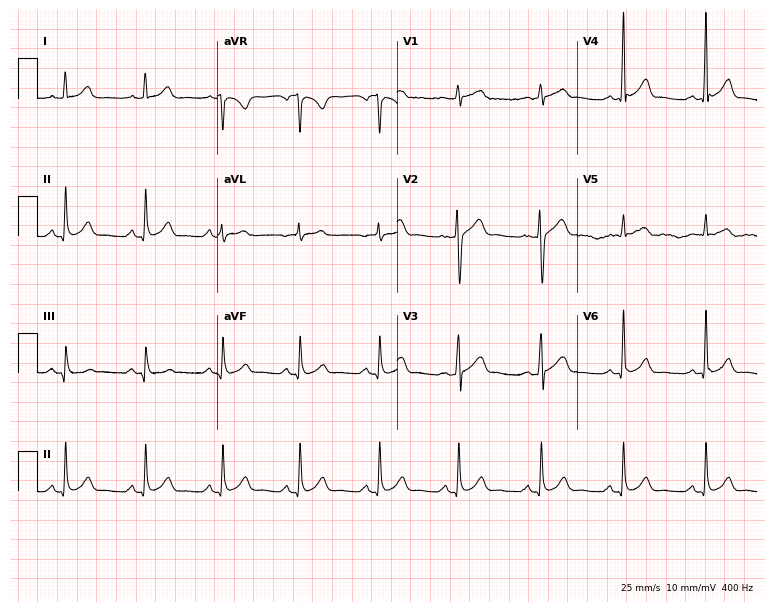
Resting 12-lead electrocardiogram. Patient: a man, 30 years old. None of these six findings is recorded: first-degree AV block, right bundle branch block, left bundle branch block, sinus bradycardia, atrial fibrillation, sinus tachycardia. Other findings, if any, are not listed.